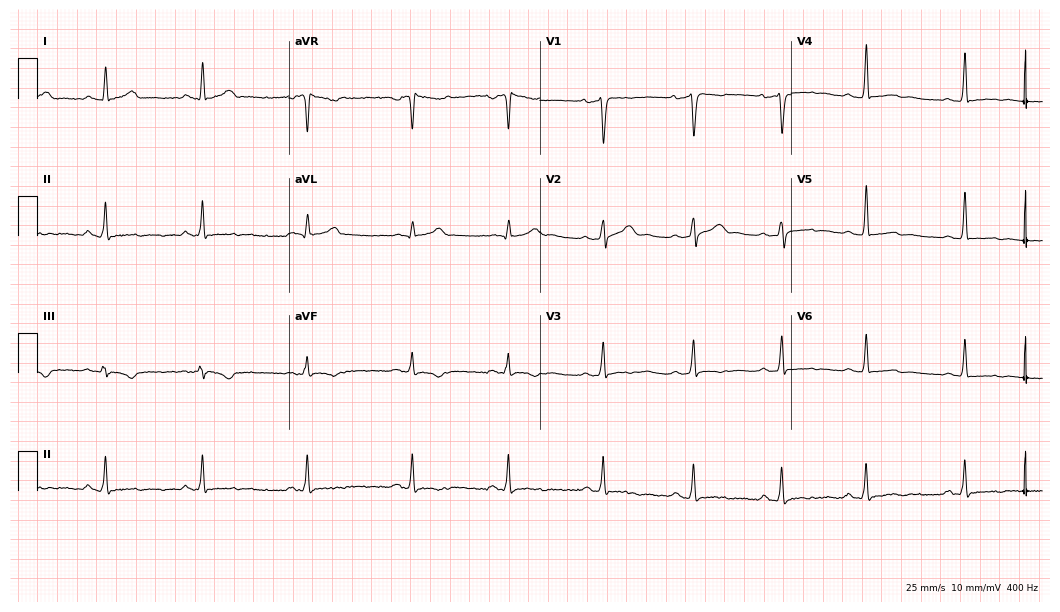
12-lead ECG from a male patient, 31 years old. No first-degree AV block, right bundle branch block (RBBB), left bundle branch block (LBBB), sinus bradycardia, atrial fibrillation (AF) or sinus tachycardia recorded for this tracing. Only these six findings were labelled.